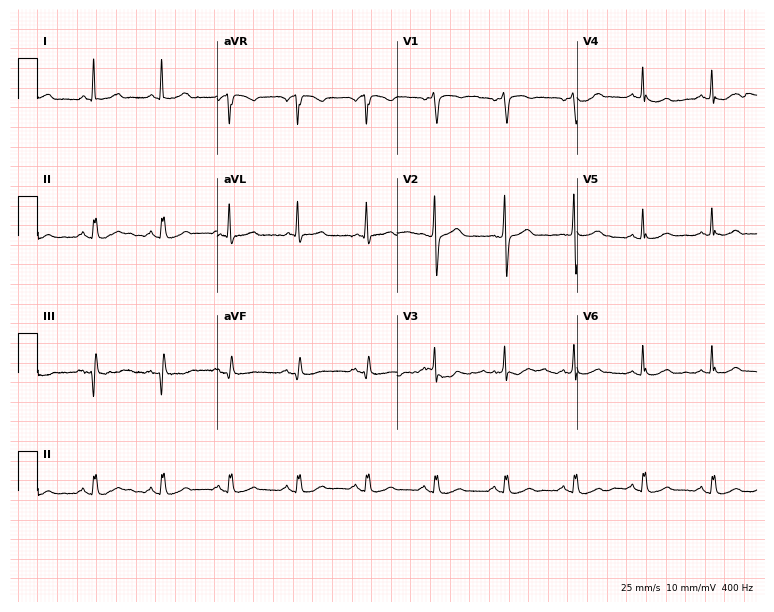
Standard 12-lead ECG recorded from a woman, 80 years old (7.3-second recording at 400 Hz). Read as a normal ECG.